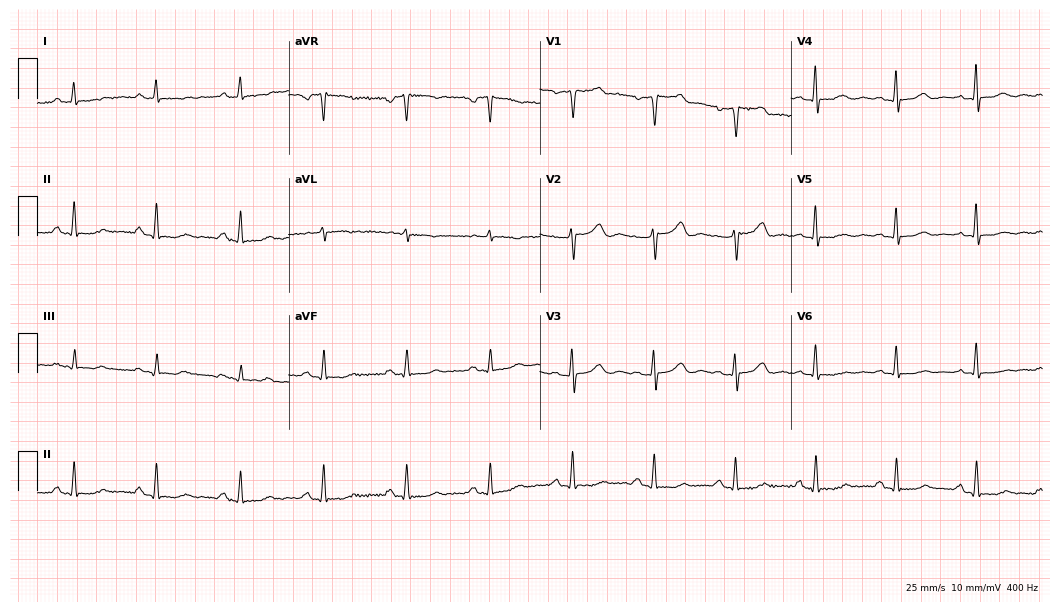
Electrocardiogram, a female, 51 years old. Overall reading on record: normal ECG.